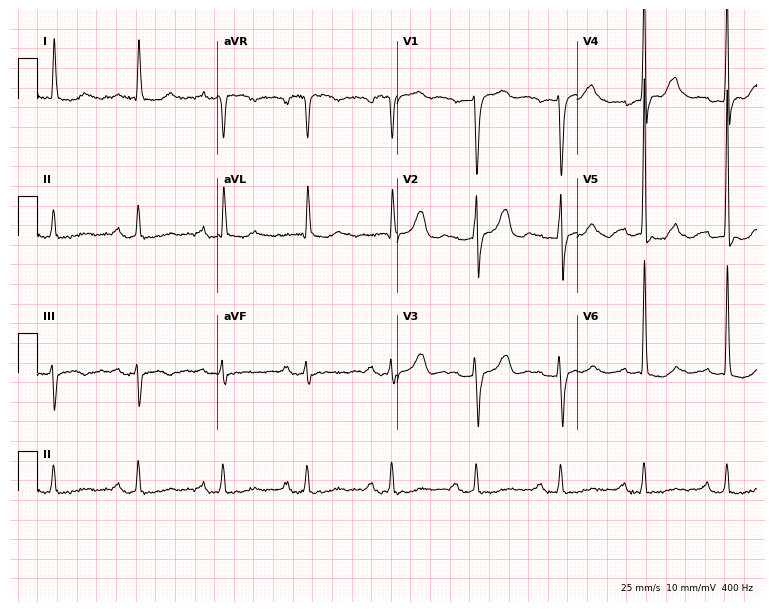
Electrocardiogram, a female patient, 79 years old. Of the six screened findings (first-degree AV block, right bundle branch block, left bundle branch block, sinus bradycardia, atrial fibrillation, sinus tachycardia), none is recorded.